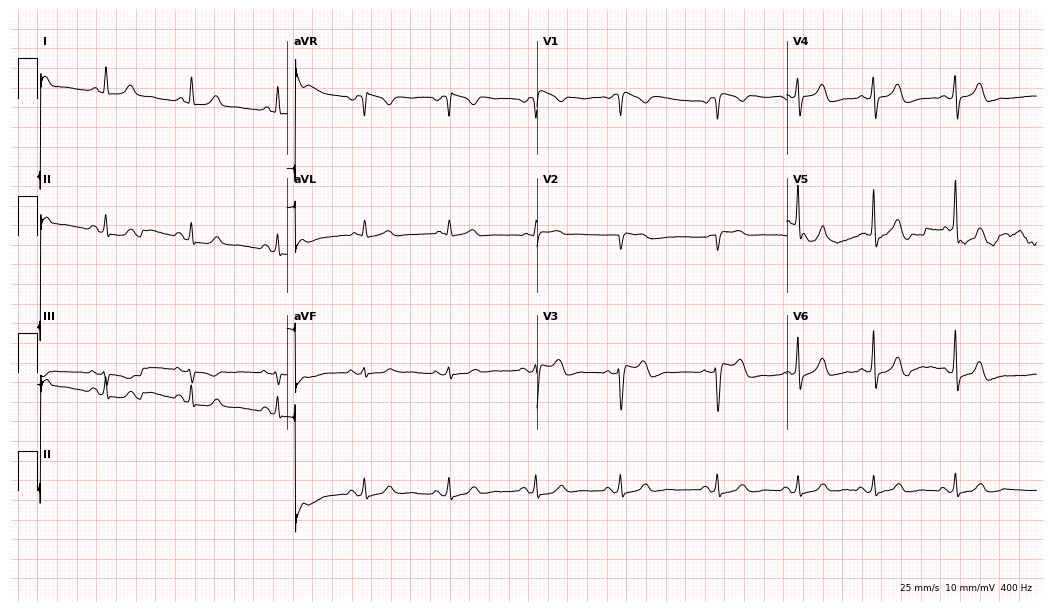
ECG (10.2-second recording at 400 Hz) — a woman, 67 years old. Screened for six findings — first-degree AV block, right bundle branch block, left bundle branch block, sinus bradycardia, atrial fibrillation, sinus tachycardia — none is recorded. Only these six findings were labelled.